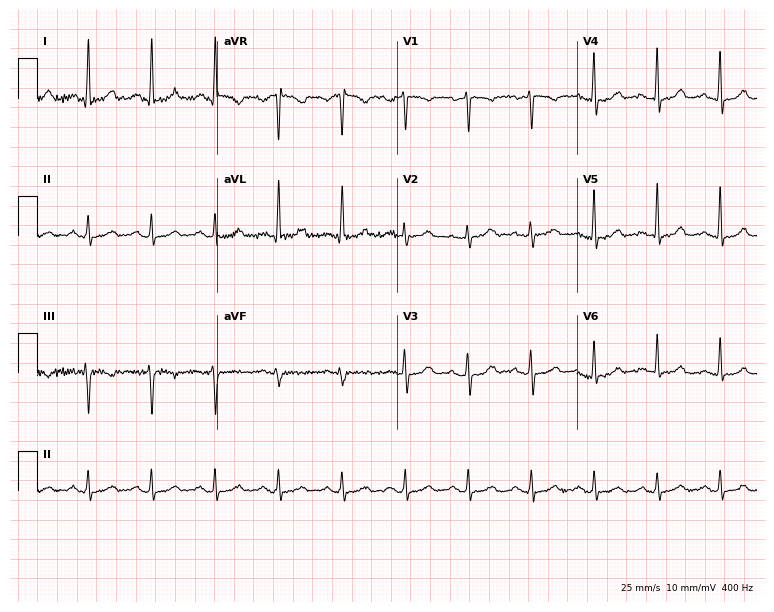
ECG (7.3-second recording at 400 Hz) — a 43-year-old woman. Labelled as a normal ECG.